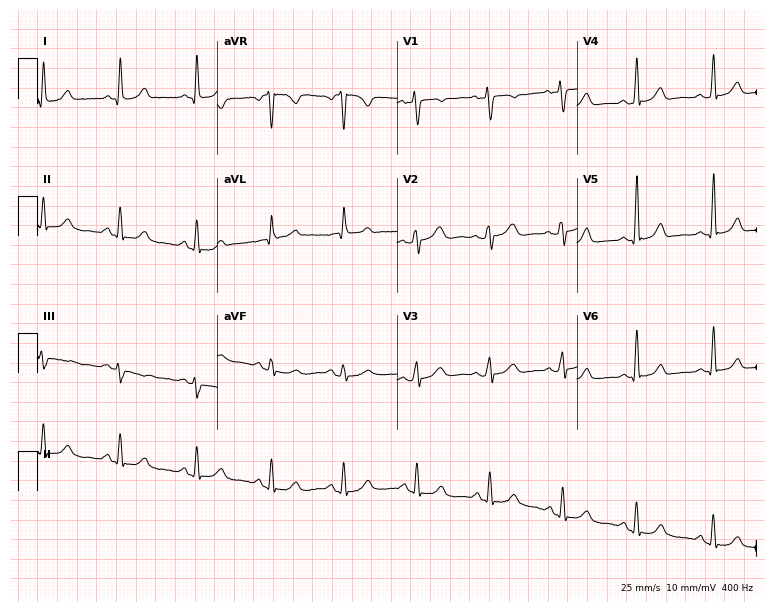
12-lead ECG (7.3-second recording at 400 Hz) from a 60-year-old female patient. Screened for six findings — first-degree AV block, right bundle branch block, left bundle branch block, sinus bradycardia, atrial fibrillation, sinus tachycardia — none is recorded.